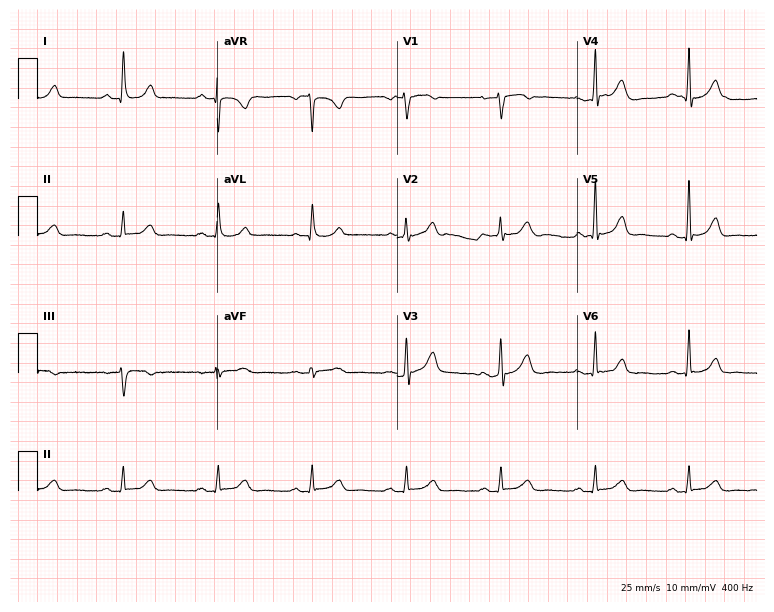
Electrocardiogram, a 71-year-old female. Overall reading on record: normal ECG.